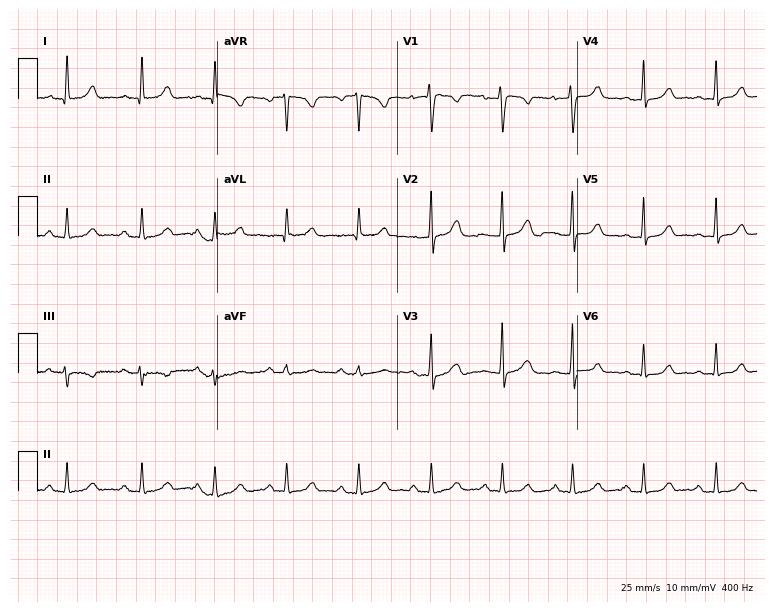
12-lead ECG (7.3-second recording at 400 Hz) from a female patient, 31 years old. Screened for six findings — first-degree AV block, right bundle branch block, left bundle branch block, sinus bradycardia, atrial fibrillation, sinus tachycardia — none is recorded. Findings outside these six are not listed.